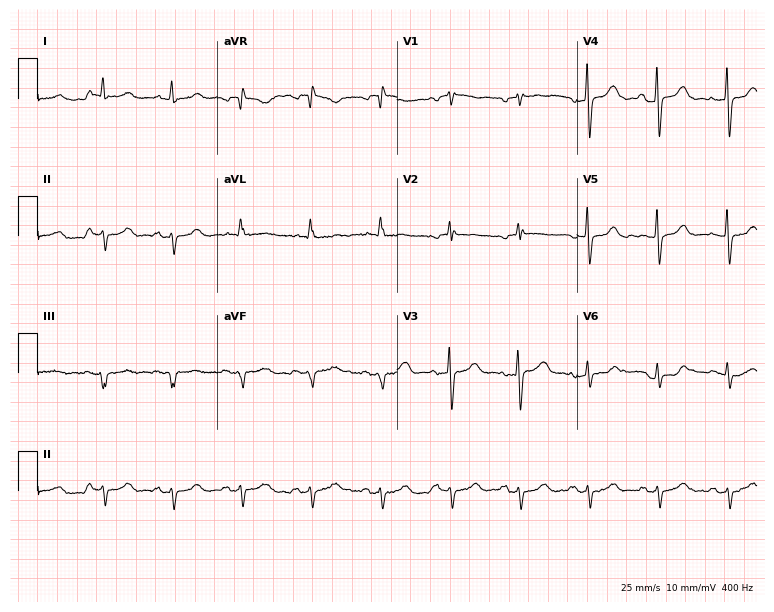
12-lead ECG from a 72-year-old female (7.3-second recording at 400 Hz). No first-degree AV block, right bundle branch block, left bundle branch block, sinus bradycardia, atrial fibrillation or sinus tachycardia recorded for this tracing. Other findings, if any, are not listed.